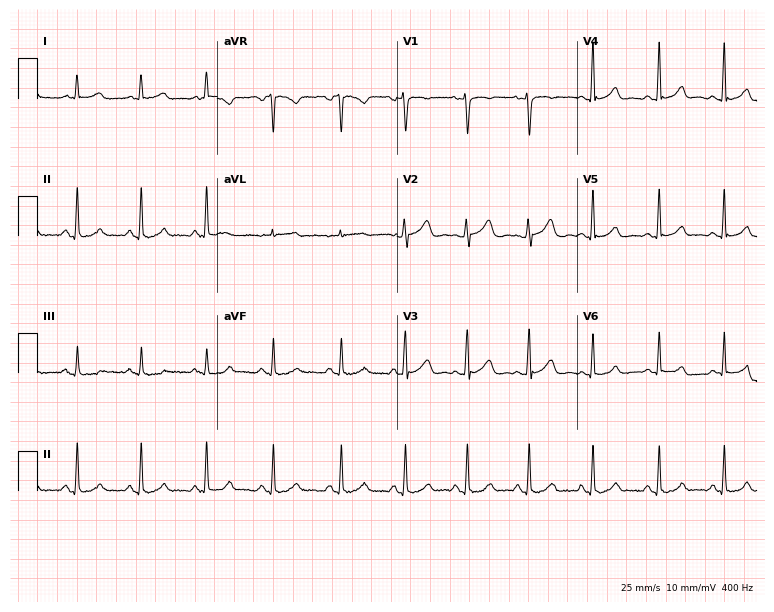
Electrocardiogram, a 23-year-old female patient. Of the six screened findings (first-degree AV block, right bundle branch block, left bundle branch block, sinus bradycardia, atrial fibrillation, sinus tachycardia), none is recorded.